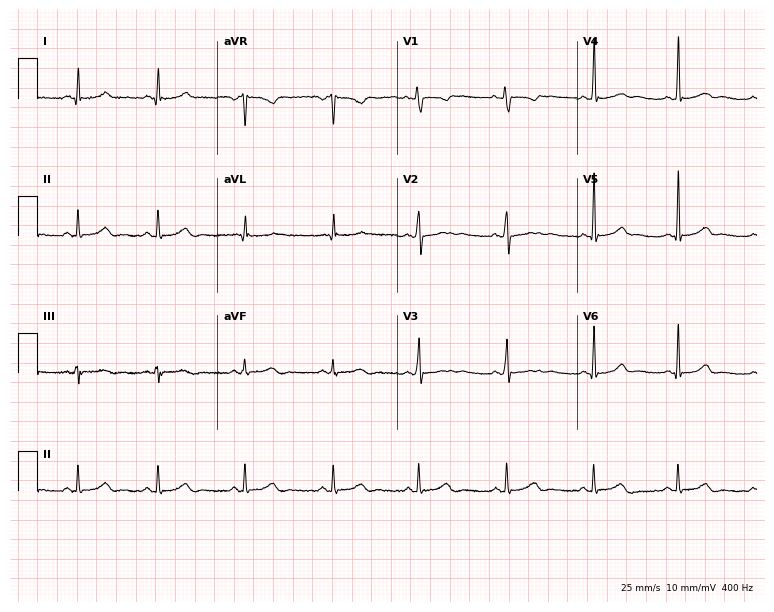
Electrocardiogram, a 27-year-old female patient. Overall reading on record: normal ECG.